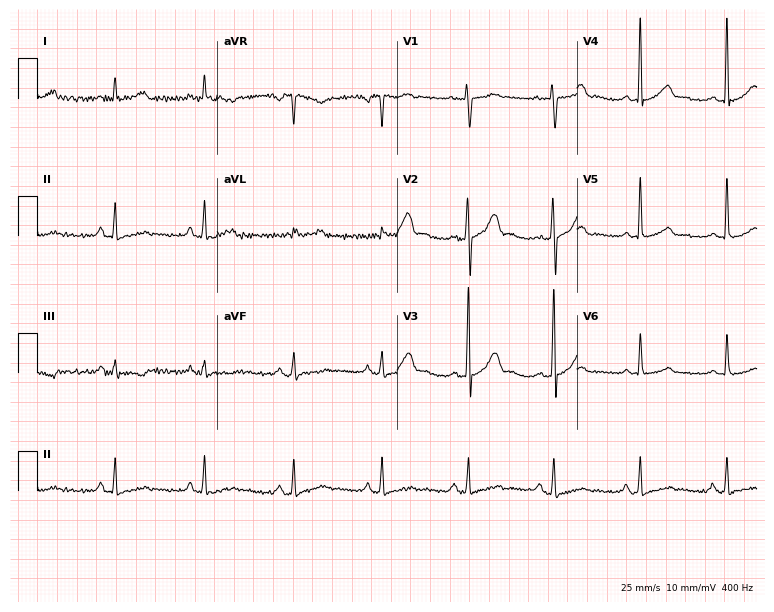
12-lead ECG (7.3-second recording at 400 Hz) from a 49-year-old man. Screened for six findings — first-degree AV block, right bundle branch block, left bundle branch block, sinus bradycardia, atrial fibrillation, sinus tachycardia — none is recorded.